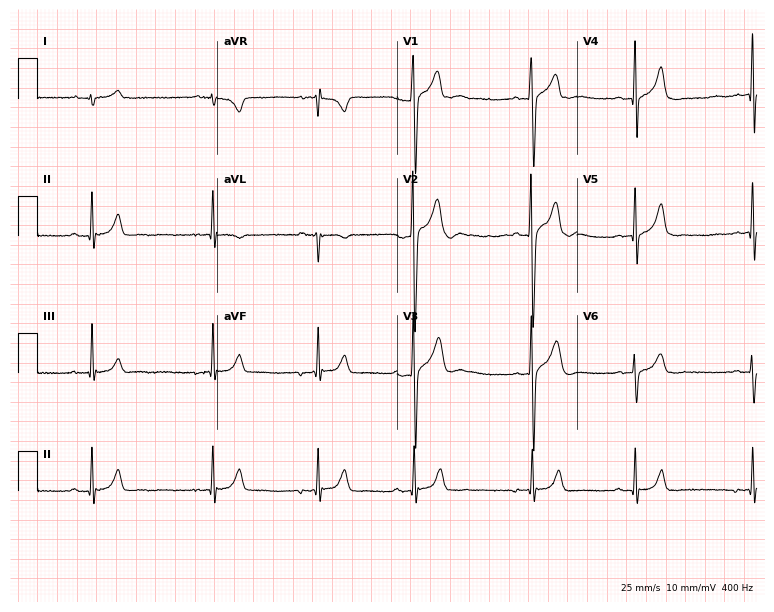
Electrocardiogram, a male patient, 19 years old. Of the six screened findings (first-degree AV block, right bundle branch block, left bundle branch block, sinus bradycardia, atrial fibrillation, sinus tachycardia), none is recorded.